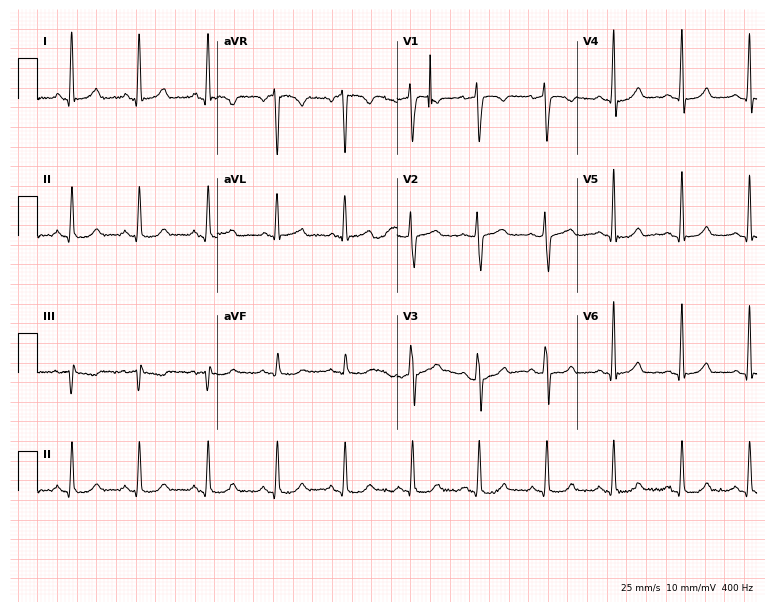
12-lead ECG from a female patient, 32 years old. Recorded interpretation: within normal limits.